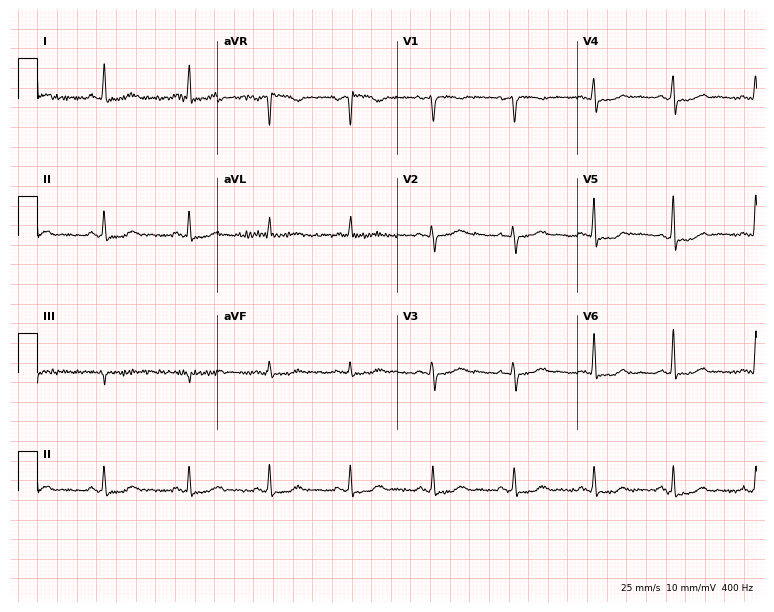
12-lead ECG from a 48-year-old female (7.3-second recording at 400 Hz). Recorded interpretation: within normal limits.